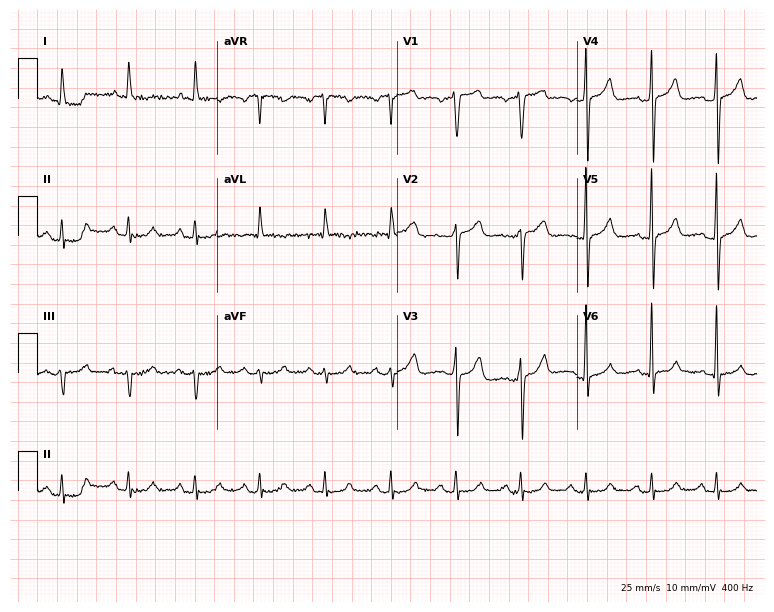
12-lead ECG from a male, 83 years old. No first-degree AV block, right bundle branch block, left bundle branch block, sinus bradycardia, atrial fibrillation or sinus tachycardia recorded for this tracing. Findings outside these six are not listed.